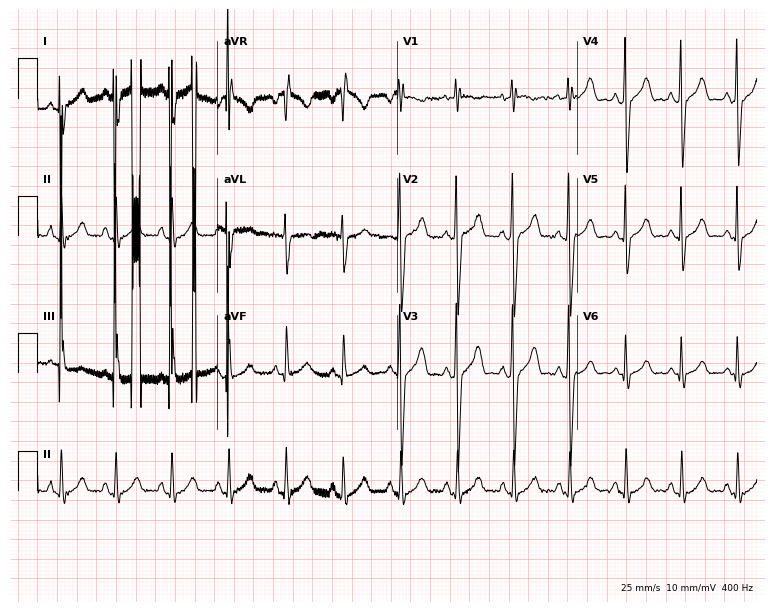
ECG — a male, 22 years old. Screened for six findings — first-degree AV block, right bundle branch block (RBBB), left bundle branch block (LBBB), sinus bradycardia, atrial fibrillation (AF), sinus tachycardia — none is recorded.